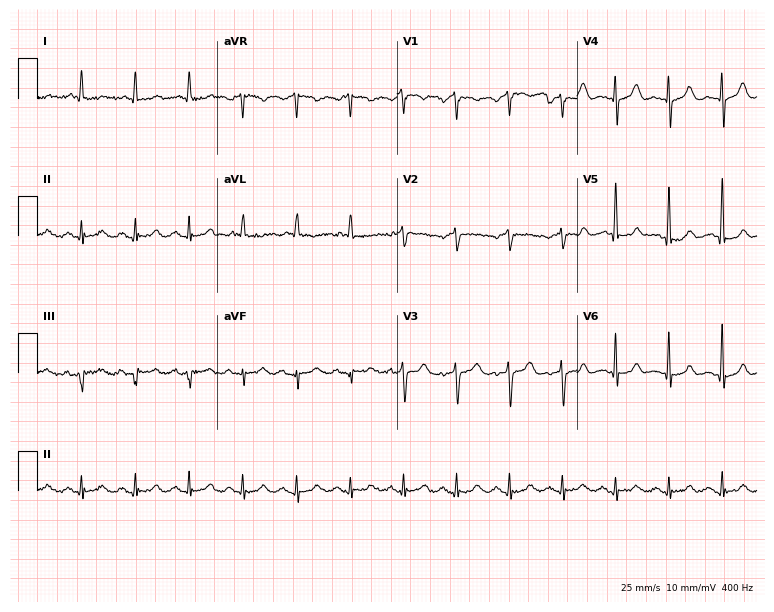
Electrocardiogram (7.3-second recording at 400 Hz), an 85-year-old woman. Interpretation includes sinus tachycardia (a sinus rate of 100 beats per minute or more).